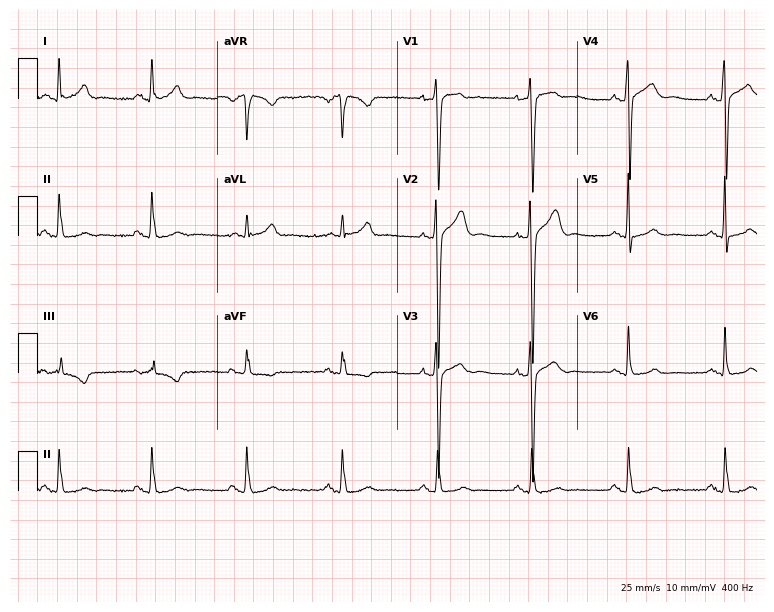
Resting 12-lead electrocardiogram (7.3-second recording at 400 Hz). Patient: a male, 59 years old. None of these six findings is recorded: first-degree AV block, right bundle branch block, left bundle branch block, sinus bradycardia, atrial fibrillation, sinus tachycardia. Findings outside these six are not listed.